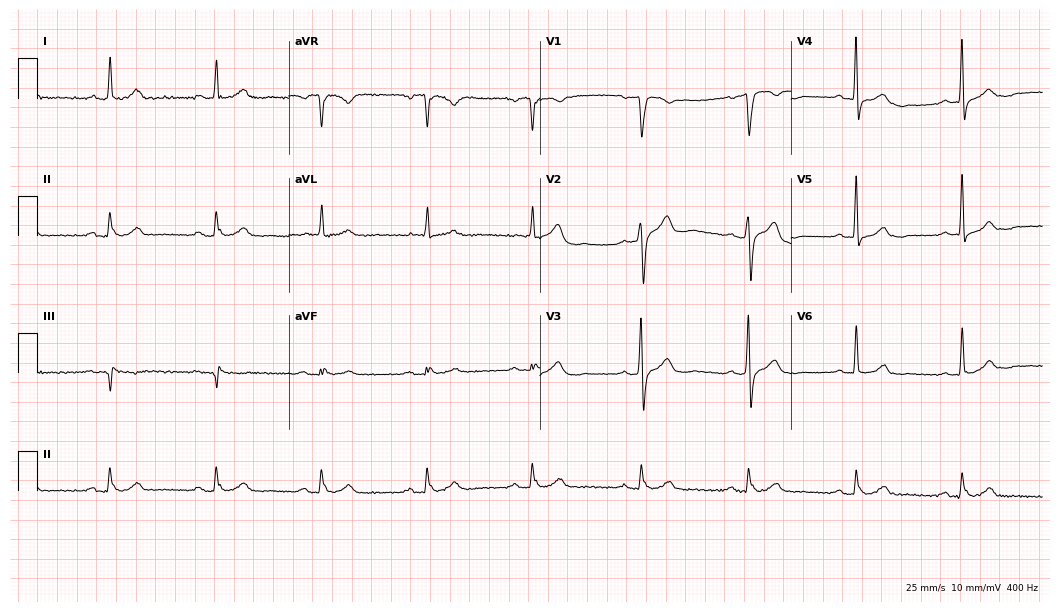
Standard 12-lead ECG recorded from a 69-year-old male patient. None of these six findings is recorded: first-degree AV block, right bundle branch block (RBBB), left bundle branch block (LBBB), sinus bradycardia, atrial fibrillation (AF), sinus tachycardia.